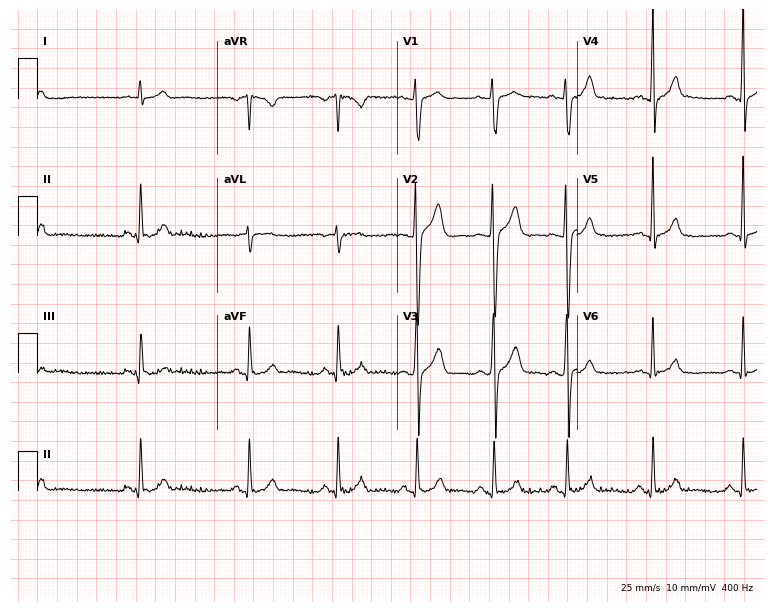
12-lead ECG from a 24-year-old man (7.3-second recording at 400 Hz). No first-degree AV block, right bundle branch block, left bundle branch block, sinus bradycardia, atrial fibrillation or sinus tachycardia recorded for this tracing. Other findings, if any, are not listed.